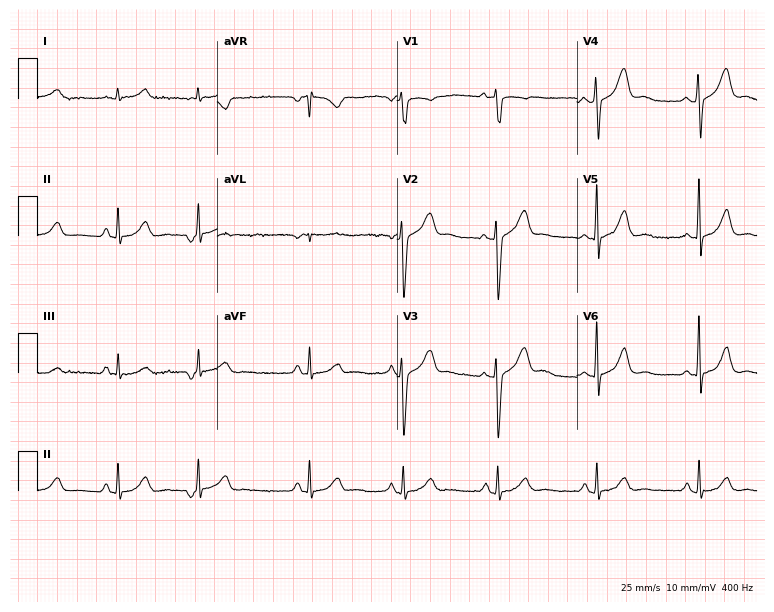
Electrocardiogram (7.3-second recording at 400 Hz), a male, 37 years old. Of the six screened findings (first-degree AV block, right bundle branch block (RBBB), left bundle branch block (LBBB), sinus bradycardia, atrial fibrillation (AF), sinus tachycardia), none is recorded. Findings outside these six are not listed.